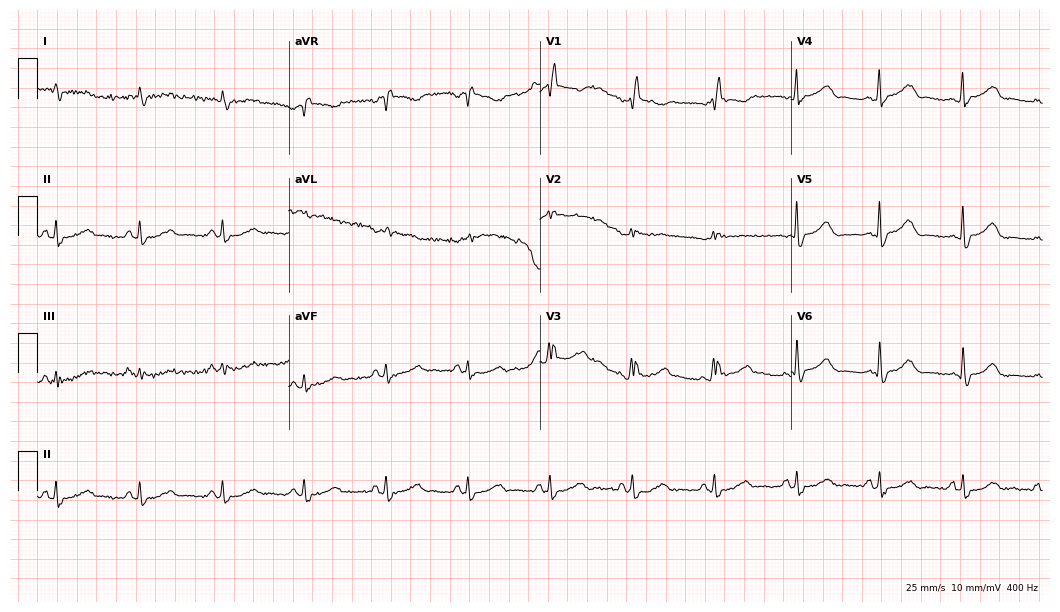
Electrocardiogram, a male, 73 years old. Interpretation includes right bundle branch block.